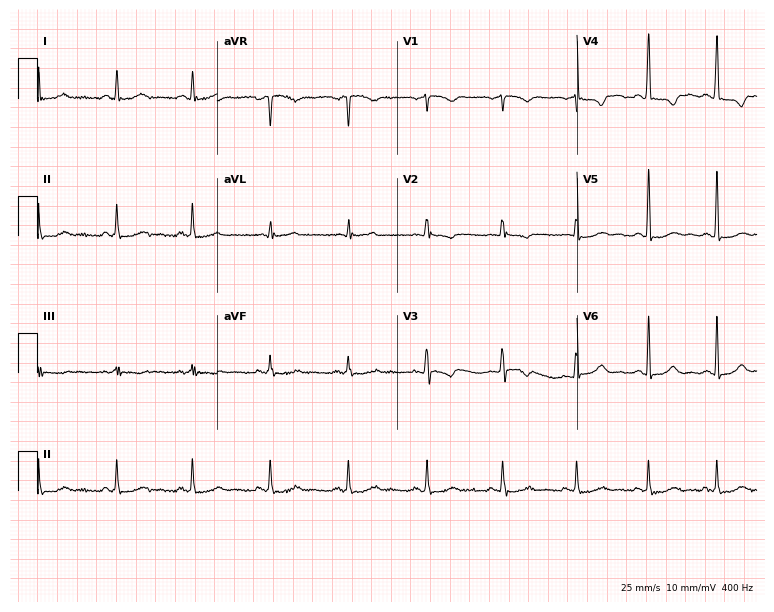
12-lead ECG from a 29-year-old woman. No first-degree AV block, right bundle branch block (RBBB), left bundle branch block (LBBB), sinus bradycardia, atrial fibrillation (AF) or sinus tachycardia recorded for this tracing. Only these six findings were labelled.